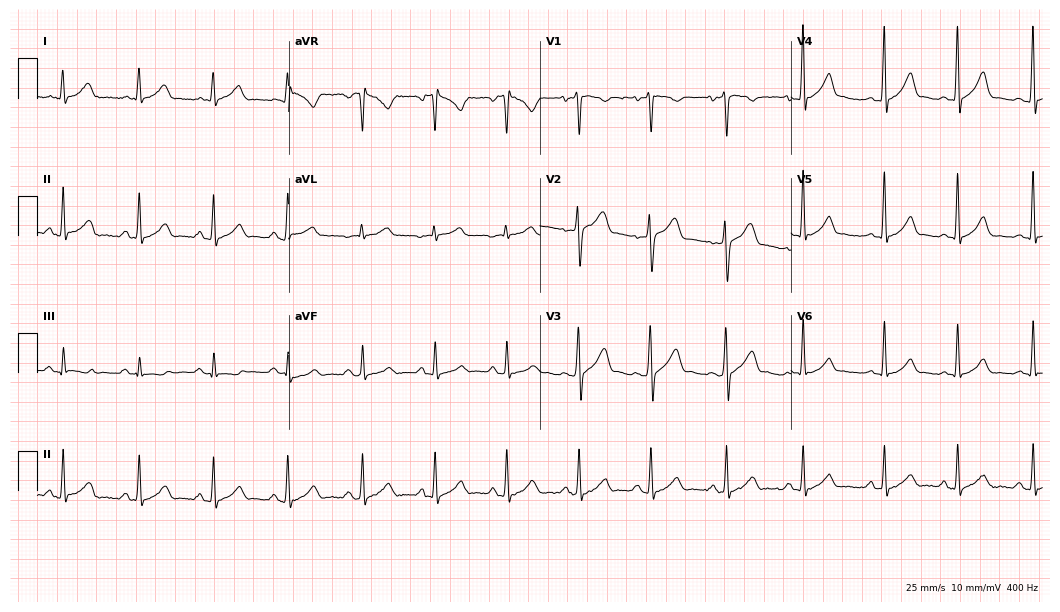
ECG (10.2-second recording at 400 Hz) — an 18-year-old man. Labelled as a normal ECG.